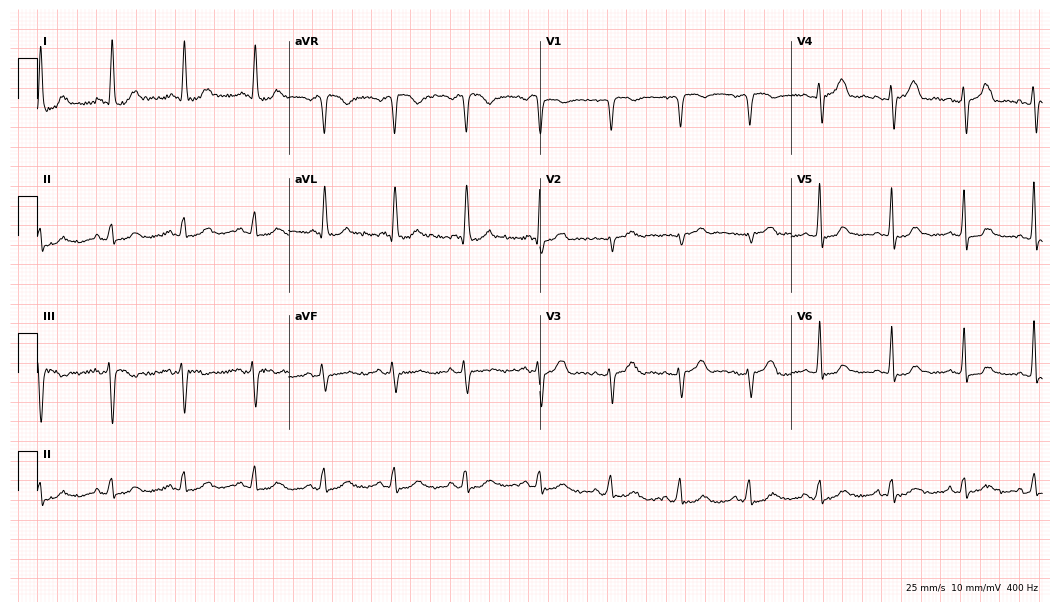
Standard 12-lead ECG recorded from a female, 64 years old. Read as a normal ECG.